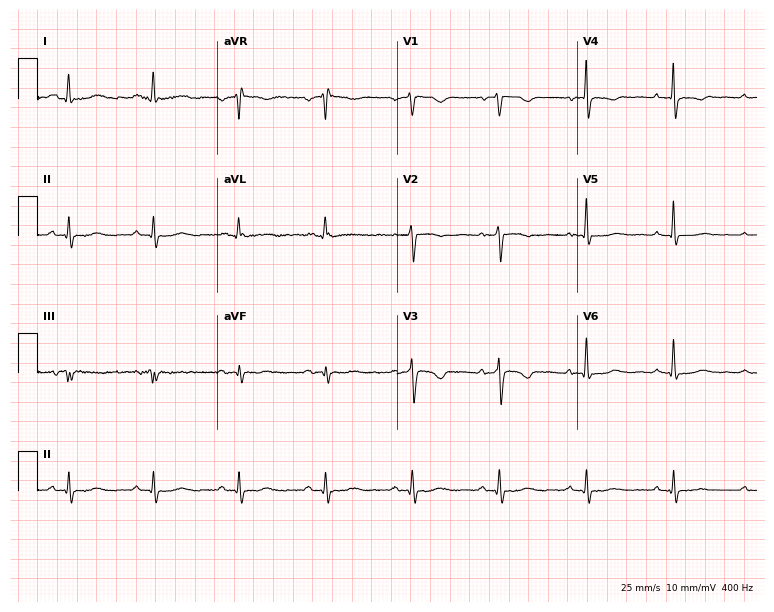
Standard 12-lead ECG recorded from a woman, 68 years old. None of these six findings is recorded: first-degree AV block, right bundle branch block, left bundle branch block, sinus bradycardia, atrial fibrillation, sinus tachycardia. Findings outside these six are not listed.